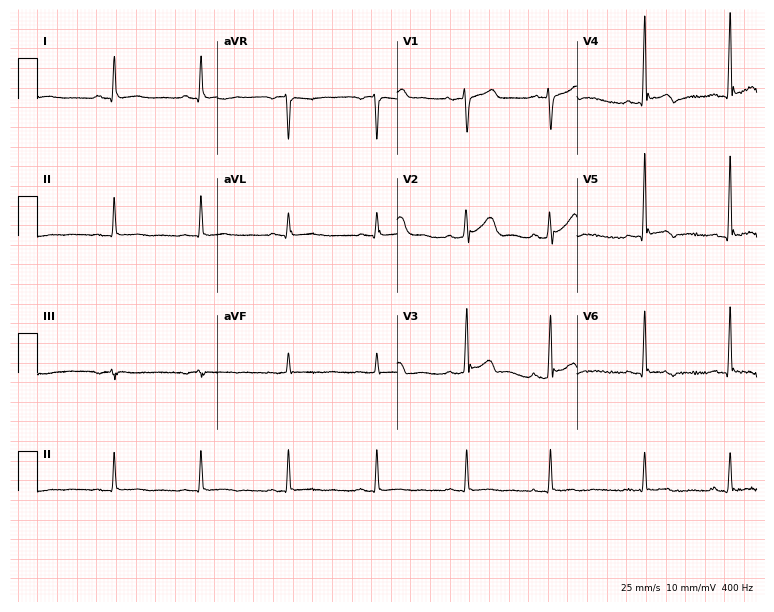
Electrocardiogram (7.3-second recording at 400 Hz), a 46-year-old male. Of the six screened findings (first-degree AV block, right bundle branch block (RBBB), left bundle branch block (LBBB), sinus bradycardia, atrial fibrillation (AF), sinus tachycardia), none is recorded. Findings outside these six are not listed.